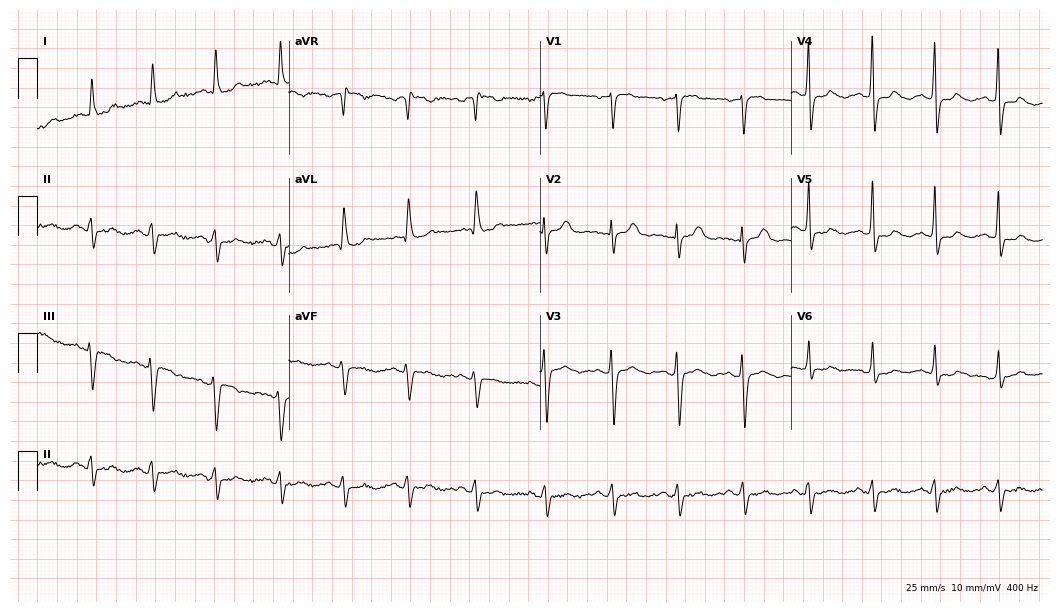
12-lead ECG (10.2-second recording at 400 Hz) from a male, 70 years old. Screened for six findings — first-degree AV block, right bundle branch block, left bundle branch block, sinus bradycardia, atrial fibrillation, sinus tachycardia — none is recorded.